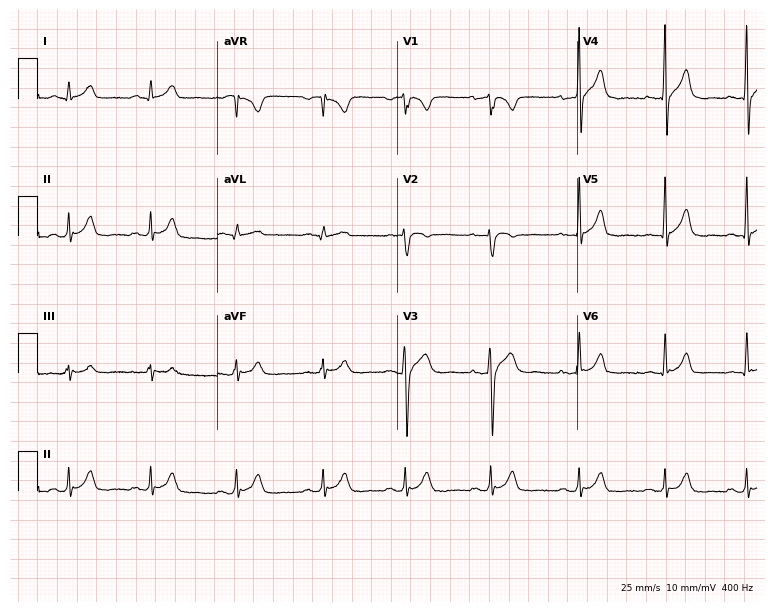
Resting 12-lead electrocardiogram. Patient: a man, 30 years old. None of these six findings is recorded: first-degree AV block, right bundle branch block (RBBB), left bundle branch block (LBBB), sinus bradycardia, atrial fibrillation (AF), sinus tachycardia.